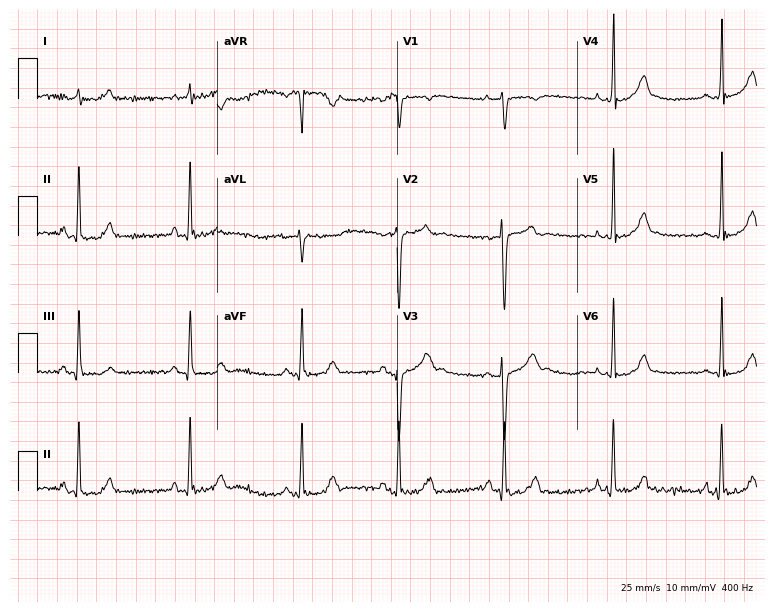
Electrocardiogram, a 19-year-old female. Overall reading on record: normal ECG.